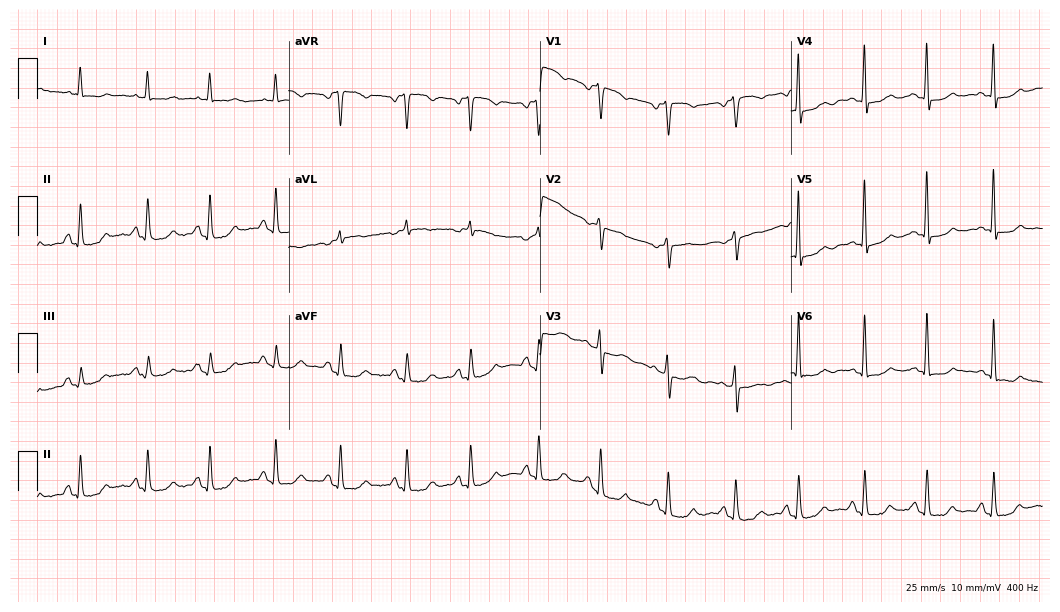
Resting 12-lead electrocardiogram (10.2-second recording at 400 Hz). Patient: a 75-year-old female. Read as a normal ECG.